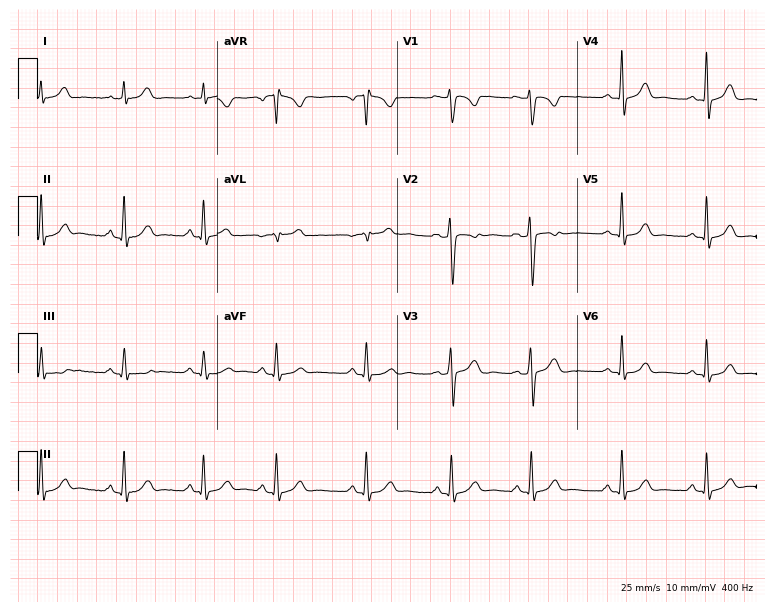
12-lead ECG from a 28-year-old woman. Screened for six findings — first-degree AV block, right bundle branch block, left bundle branch block, sinus bradycardia, atrial fibrillation, sinus tachycardia — none is recorded.